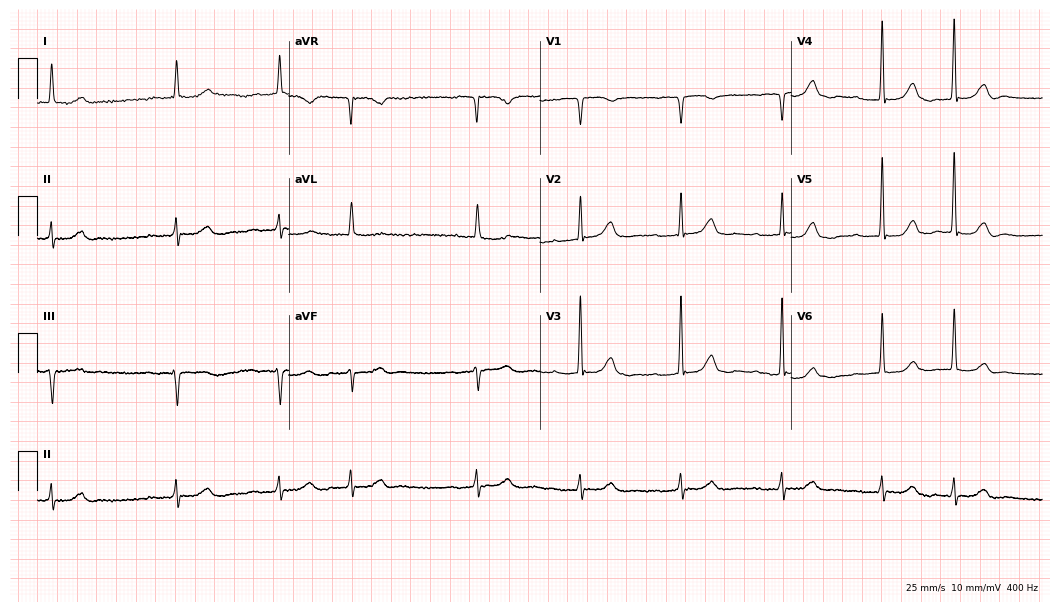
Standard 12-lead ECG recorded from a female, 88 years old (10.2-second recording at 400 Hz). The tracing shows first-degree AV block, atrial fibrillation (AF).